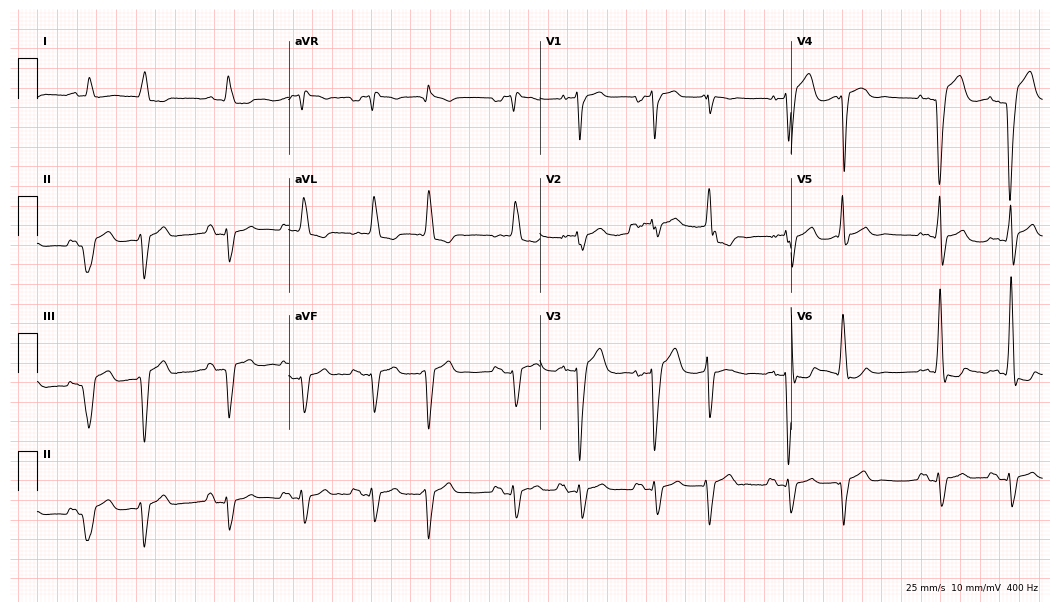
Electrocardiogram, a 70-year-old man. Interpretation includes left bundle branch block.